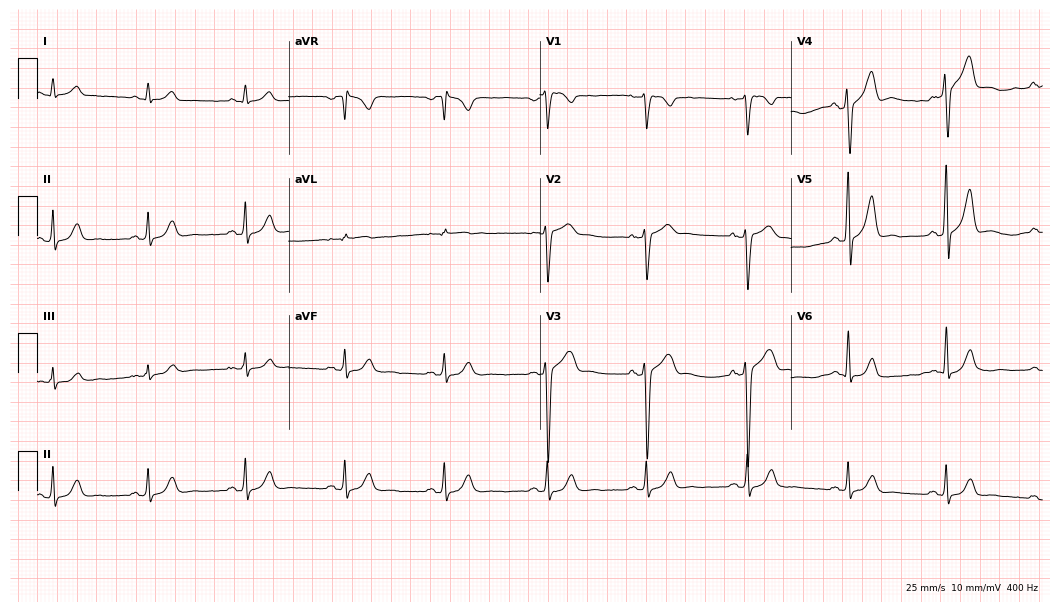
Standard 12-lead ECG recorded from a 55-year-old male. Read as a normal ECG.